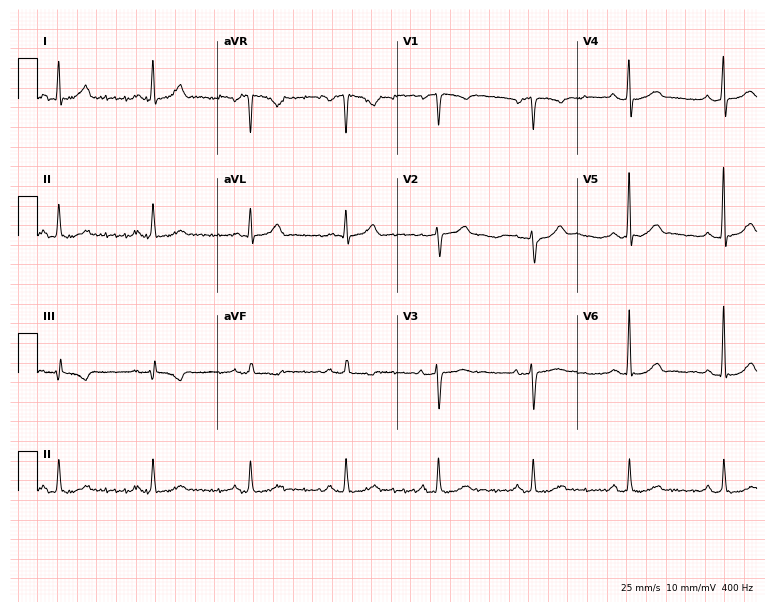
Standard 12-lead ECG recorded from a female, 48 years old. Read as a normal ECG.